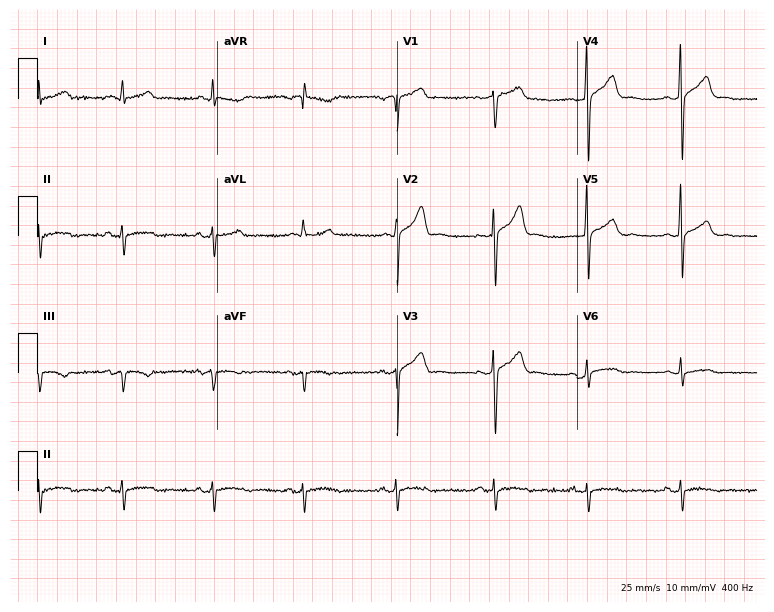
12-lead ECG (7.3-second recording at 400 Hz) from a 55-year-old man. Screened for six findings — first-degree AV block, right bundle branch block, left bundle branch block, sinus bradycardia, atrial fibrillation, sinus tachycardia — none is recorded. Only these six findings were labelled.